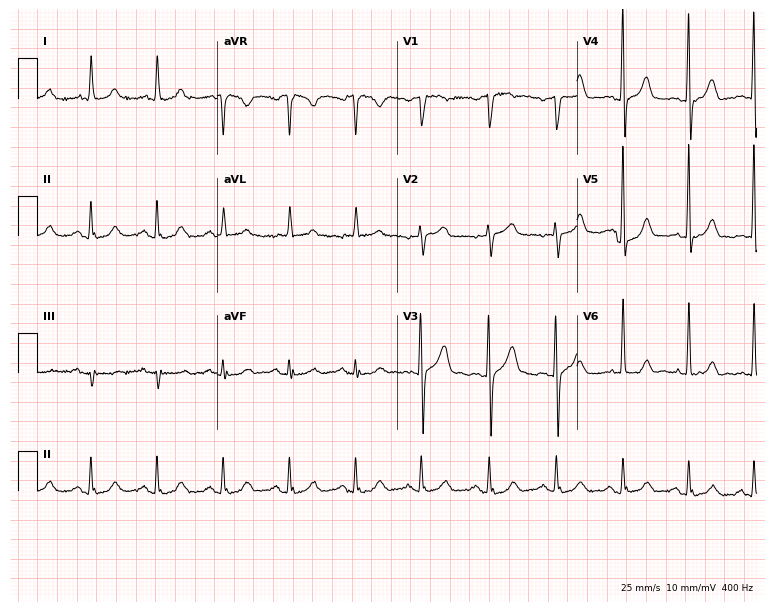
Resting 12-lead electrocardiogram. Patient: a 74-year-old male. None of these six findings is recorded: first-degree AV block, right bundle branch block, left bundle branch block, sinus bradycardia, atrial fibrillation, sinus tachycardia.